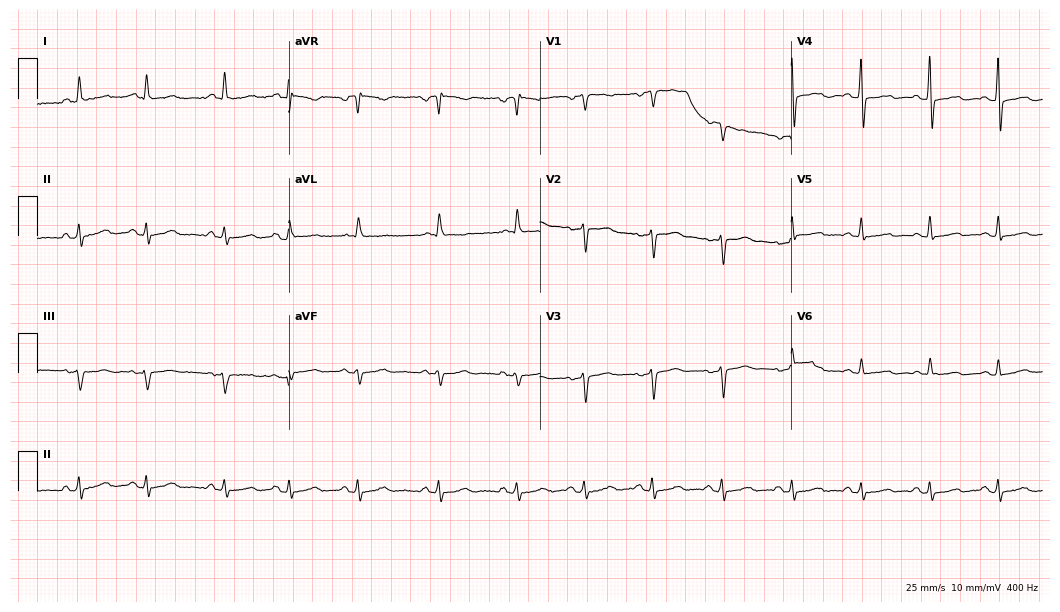
Electrocardiogram (10.2-second recording at 400 Hz), a female patient, 60 years old. Overall reading on record: normal ECG.